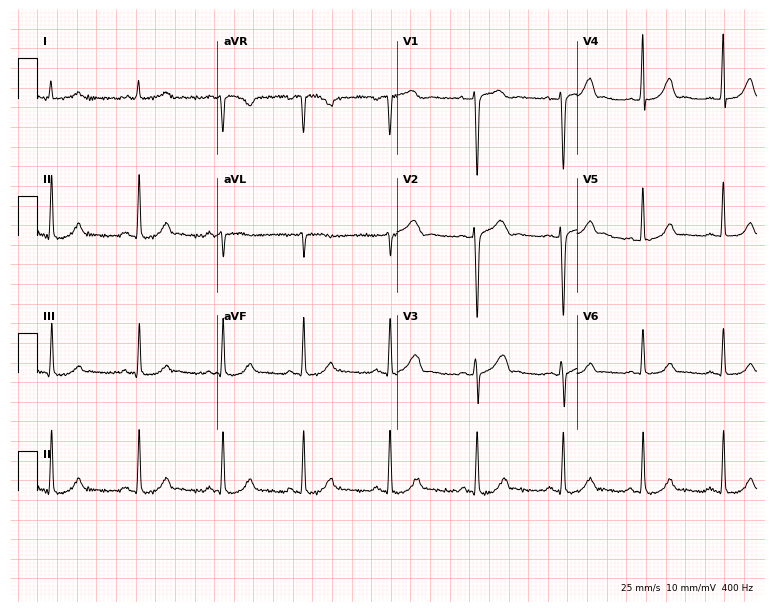
ECG — a female patient, 37 years old. Labelled as a normal ECG.